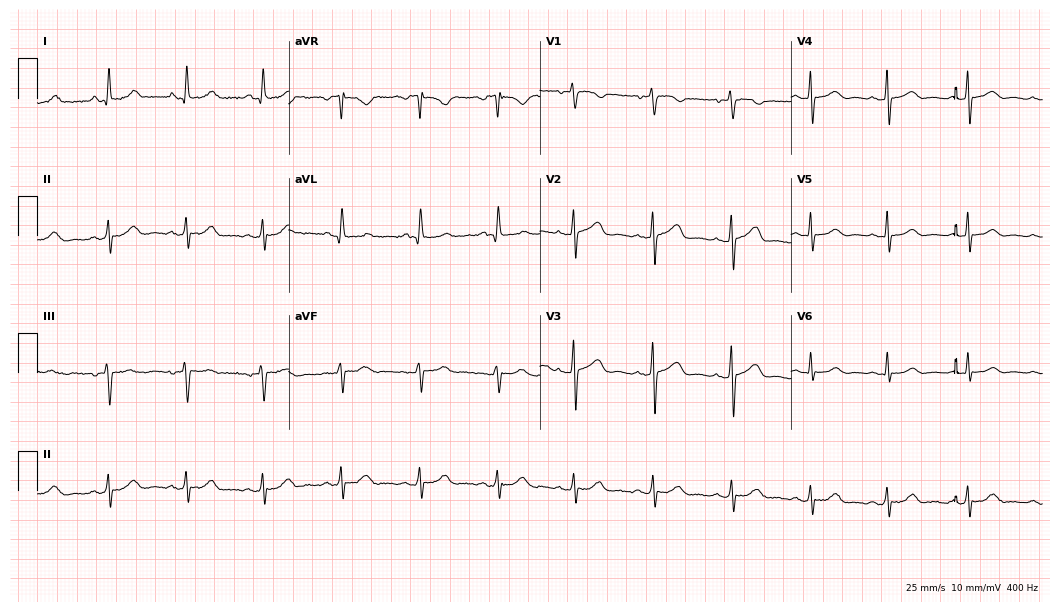
Resting 12-lead electrocardiogram. Patient: a 51-year-old woman. None of these six findings is recorded: first-degree AV block, right bundle branch block, left bundle branch block, sinus bradycardia, atrial fibrillation, sinus tachycardia.